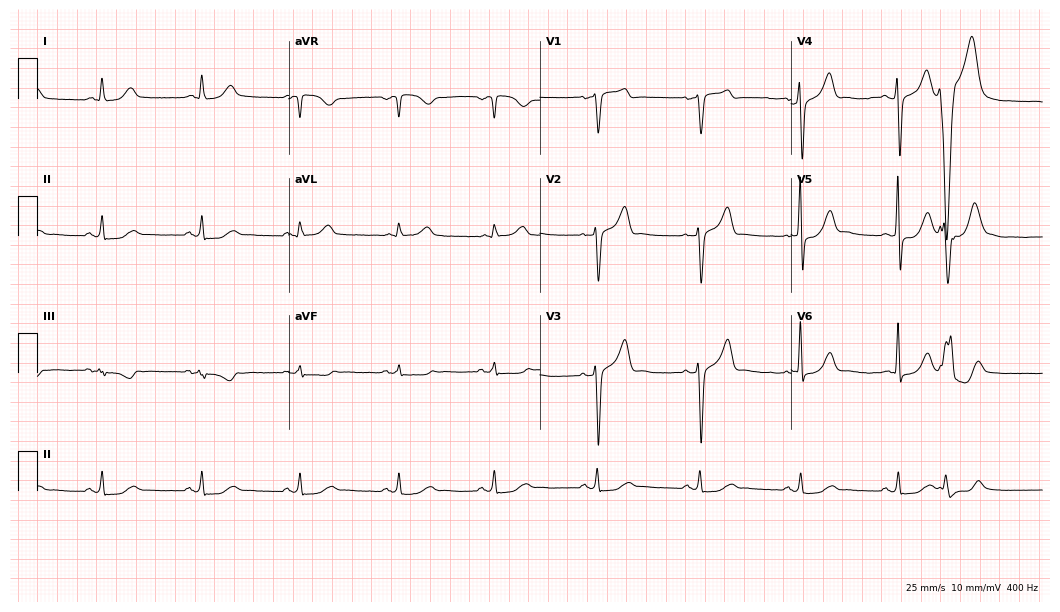
Electrocardiogram (10.2-second recording at 400 Hz), a male patient, 53 years old. Of the six screened findings (first-degree AV block, right bundle branch block (RBBB), left bundle branch block (LBBB), sinus bradycardia, atrial fibrillation (AF), sinus tachycardia), none is recorded.